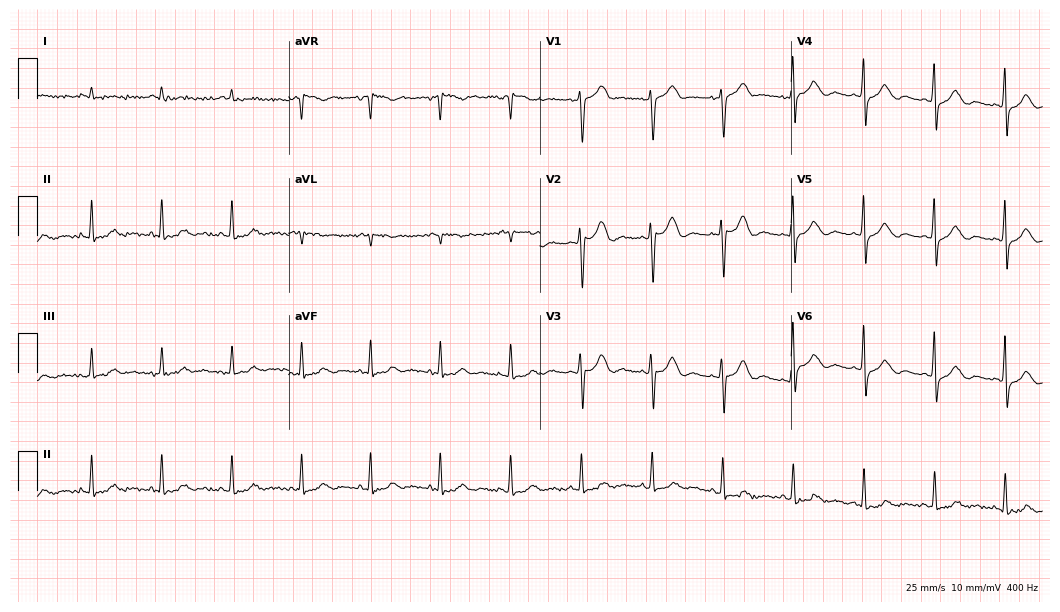
Electrocardiogram, a 67-year-old female. Overall reading on record: normal ECG.